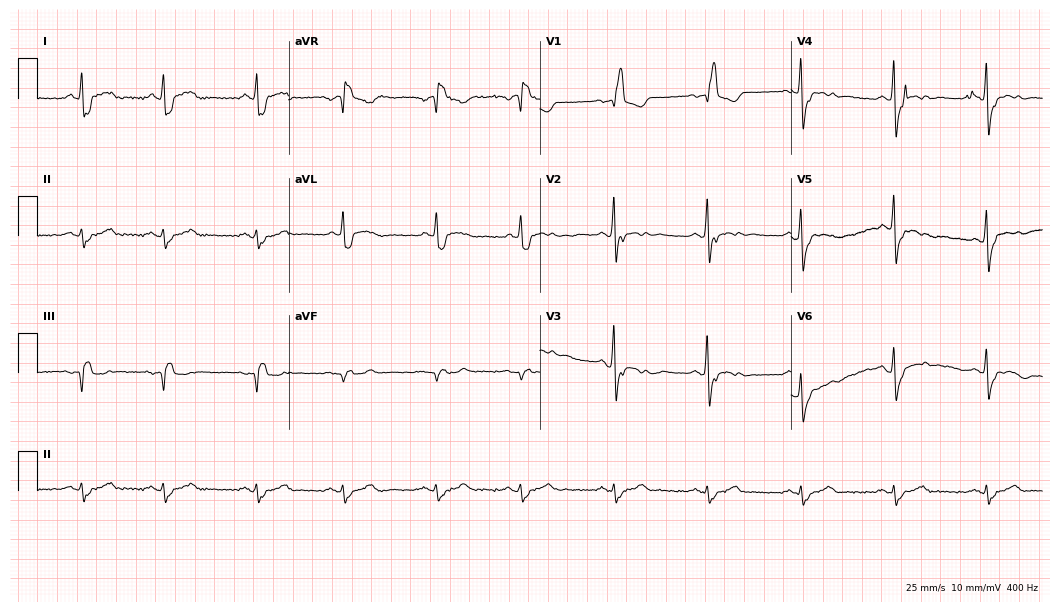
Resting 12-lead electrocardiogram (10.2-second recording at 400 Hz). Patient: a male, 68 years old. None of these six findings is recorded: first-degree AV block, right bundle branch block (RBBB), left bundle branch block (LBBB), sinus bradycardia, atrial fibrillation (AF), sinus tachycardia.